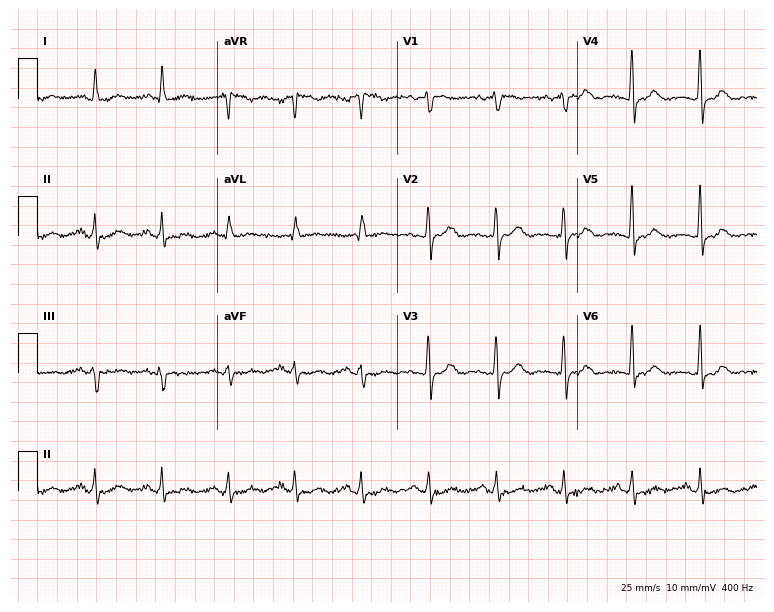
ECG — a female, 49 years old. Screened for six findings — first-degree AV block, right bundle branch block (RBBB), left bundle branch block (LBBB), sinus bradycardia, atrial fibrillation (AF), sinus tachycardia — none is recorded. Other findings, if any, are not listed.